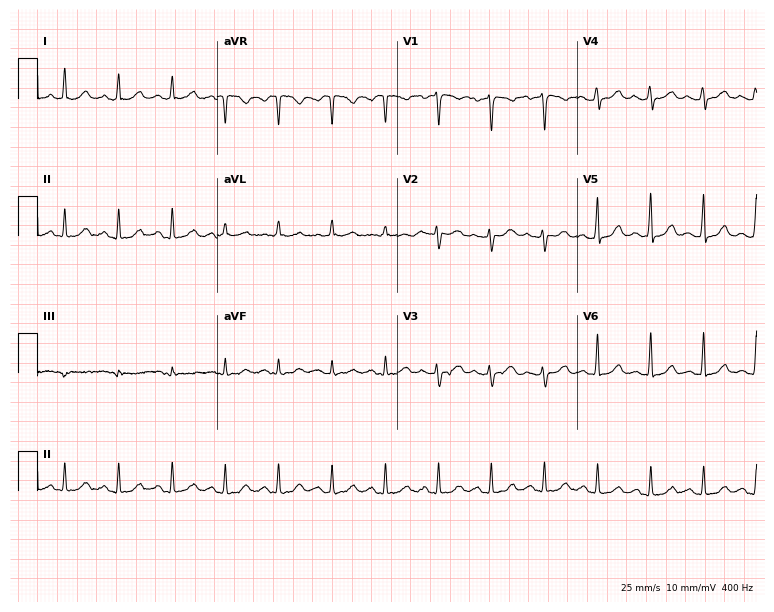
Electrocardiogram, a female, 43 years old. Interpretation includes sinus tachycardia (a sinus rate of 100 beats per minute or more).